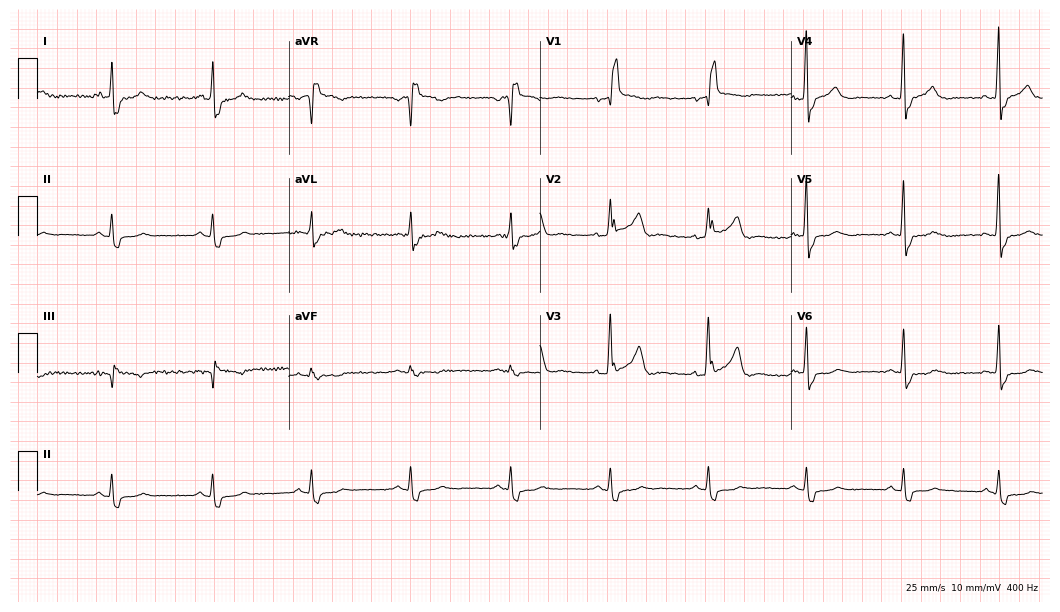
12-lead ECG from a male, 73 years old (10.2-second recording at 400 Hz). Shows right bundle branch block (RBBB).